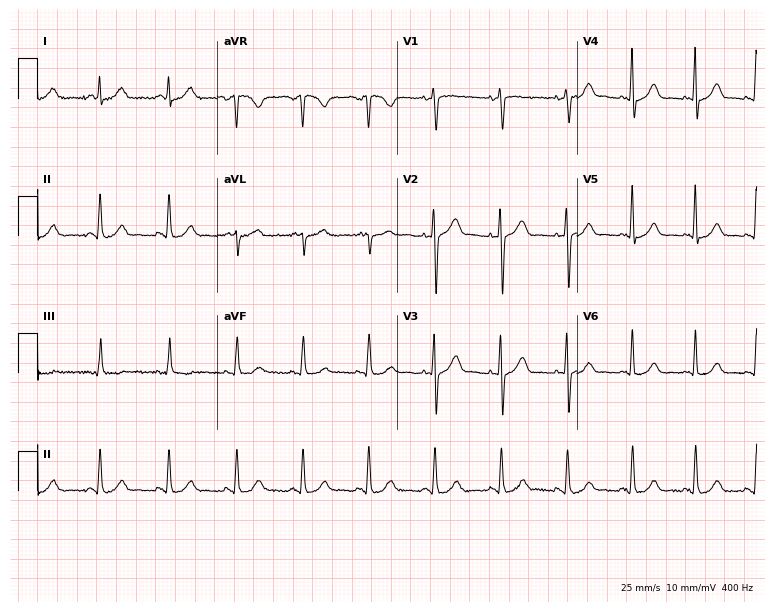
12-lead ECG from a man, 49 years old. Labelled as a normal ECG.